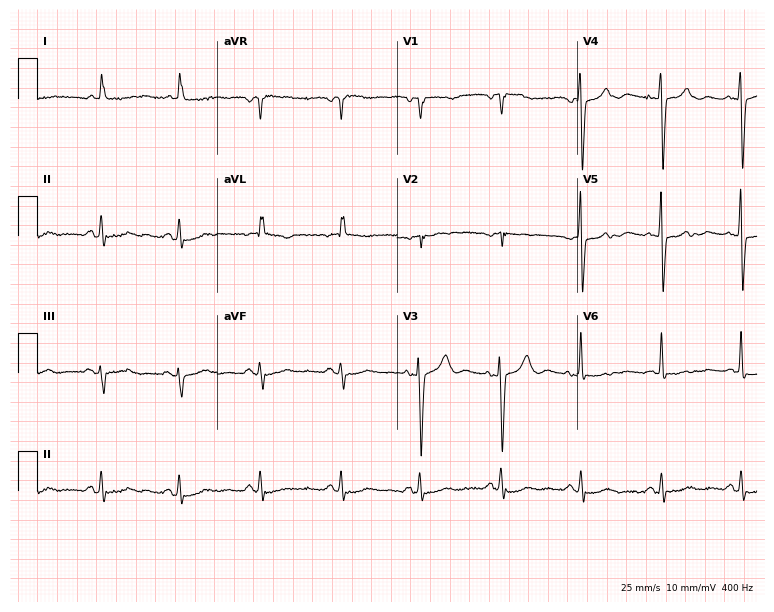
ECG (7.3-second recording at 400 Hz) — a female, 79 years old. Screened for six findings — first-degree AV block, right bundle branch block (RBBB), left bundle branch block (LBBB), sinus bradycardia, atrial fibrillation (AF), sinus tachycardia — none is recorded. Other findings, if any, are not listed.